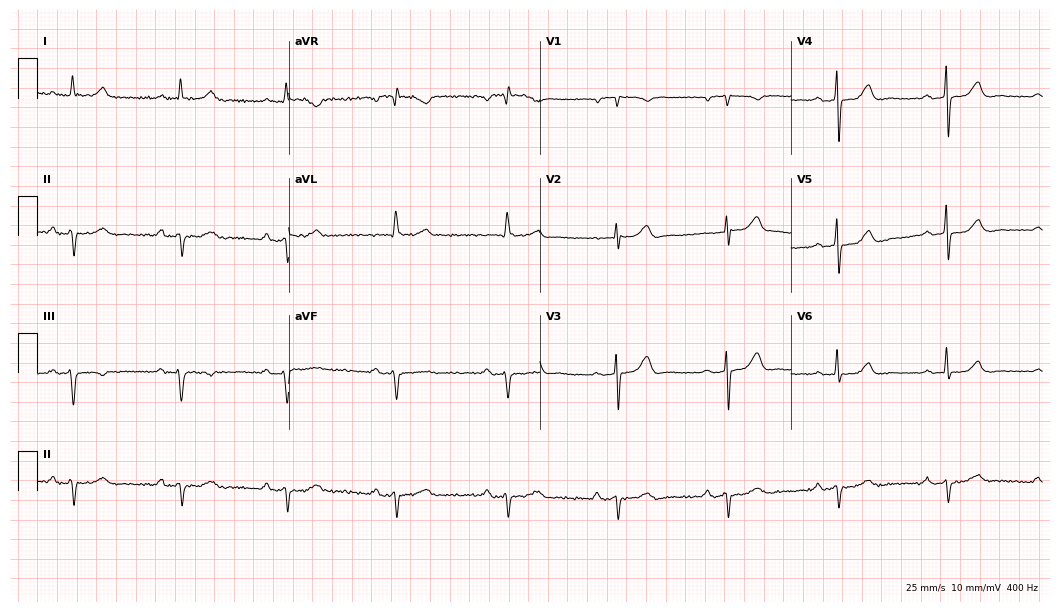
ECG (10.2-second recording at 400 Hz) — a 70-year-old male patient. Findings include first-degree AV block.